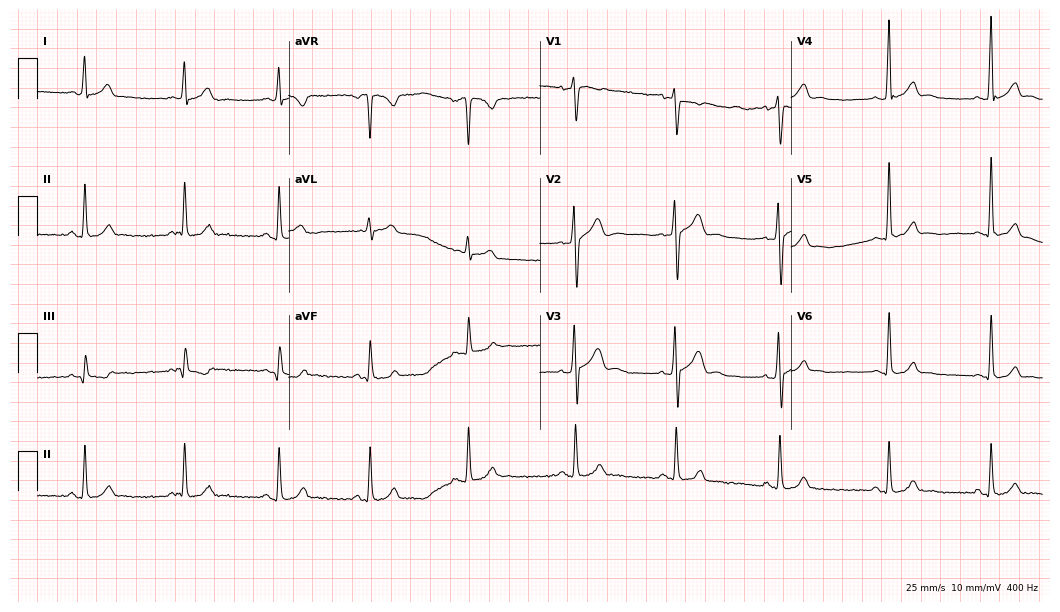
12-lead ECG from a 22-year-old male (10.2-second recording at 400 Hz). Recorded interpretation: within normal limits.